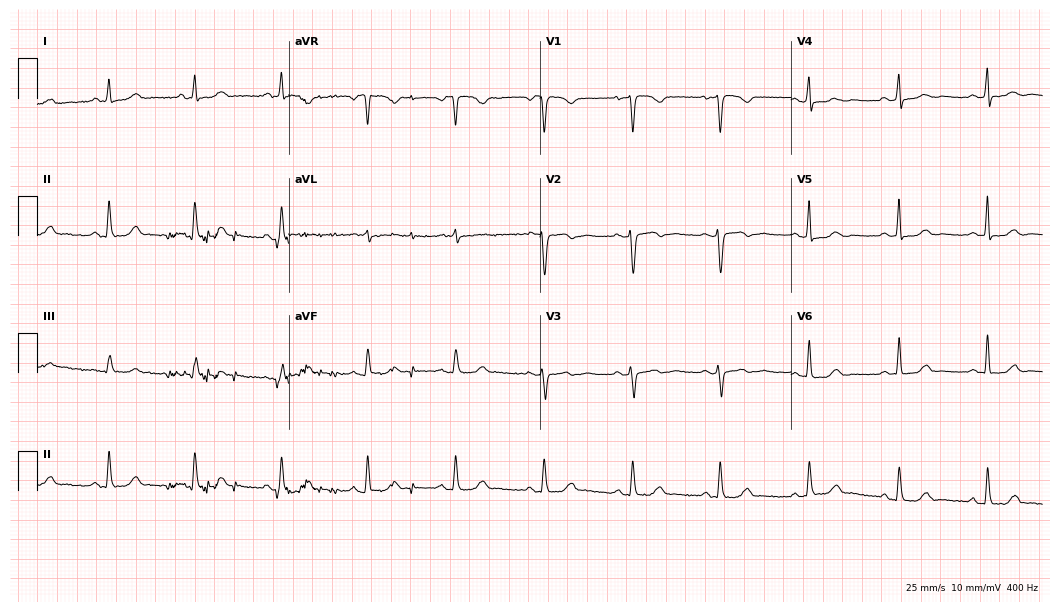
12-lead ECG from a female patient, 49 years old. Recorded interpretation: within normal limits.